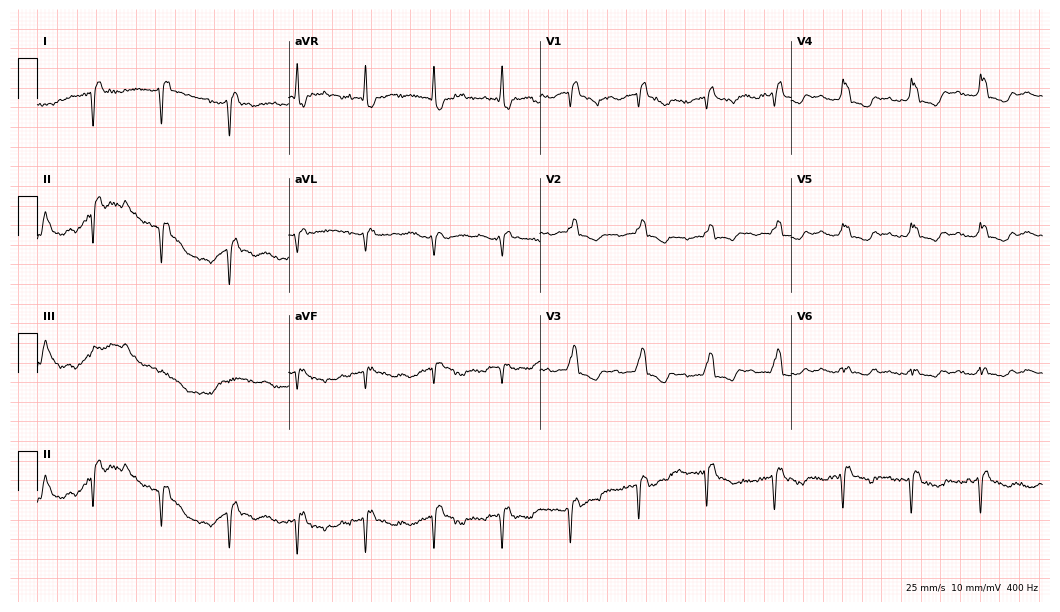
12-lead ECG from an 85-year-old male patient. Screened for six findings — first-degree AV block, right bundle branch block (RBBB), left bundle branch block (LBBB), sinus bradycardia, atrial fibrillation (AF), sinus tachycardia — none is recorded. Other findings, if any, are not listed.